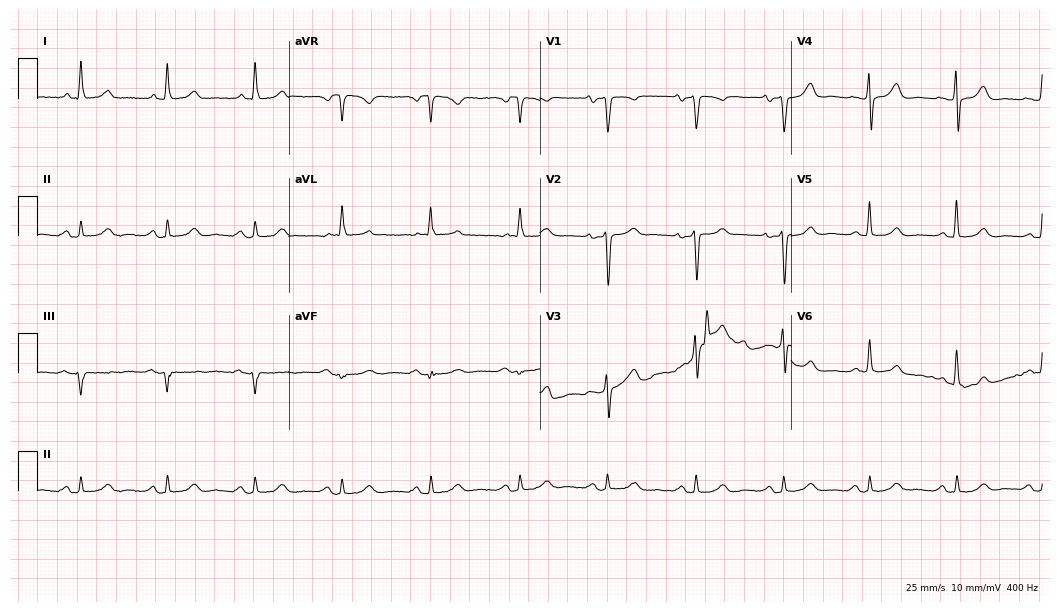
Resting 12-lead electrocardiogram. Patient: a female, 76 years old. Read as a normal ECG.